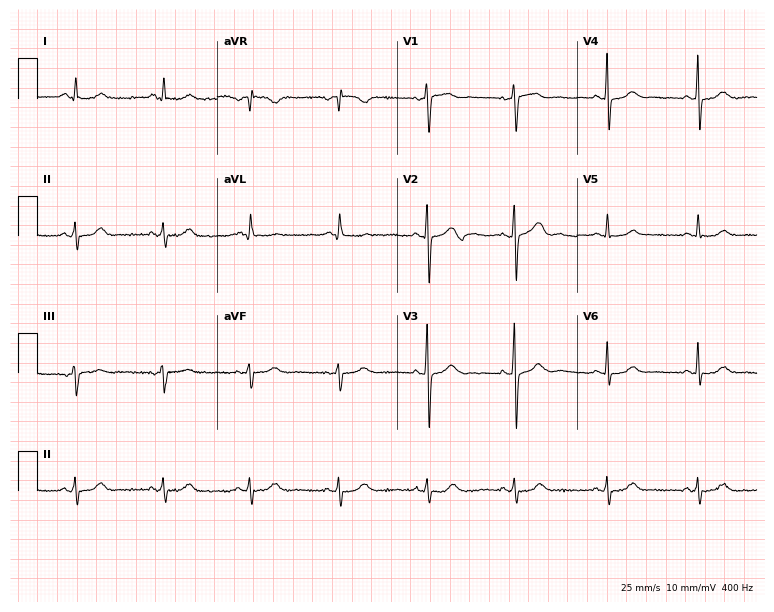
Resting 12-lead electrocardiogram (7.3-second recording at 400 Hz). Patient: a 69-year-old female. None of these six findings is recorded: first-degree AV block, right bundle branch block, left bundle branch block, sinus bradycardia, atrial fibrillation, sinus tachycardia.